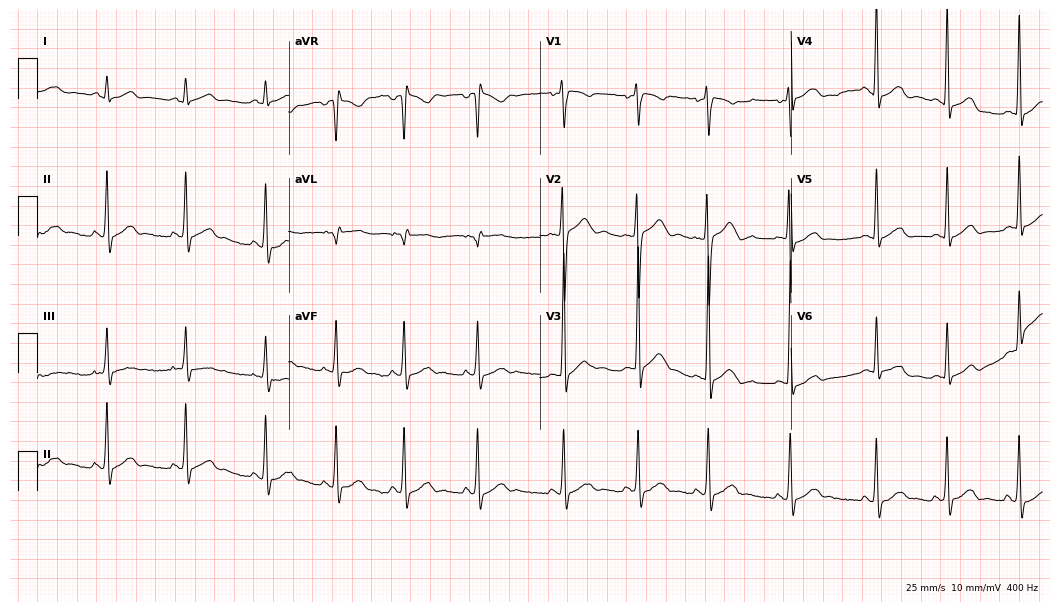
Electrocardiogram, a 17-year-old male. Overall reading on record: normal ECG.